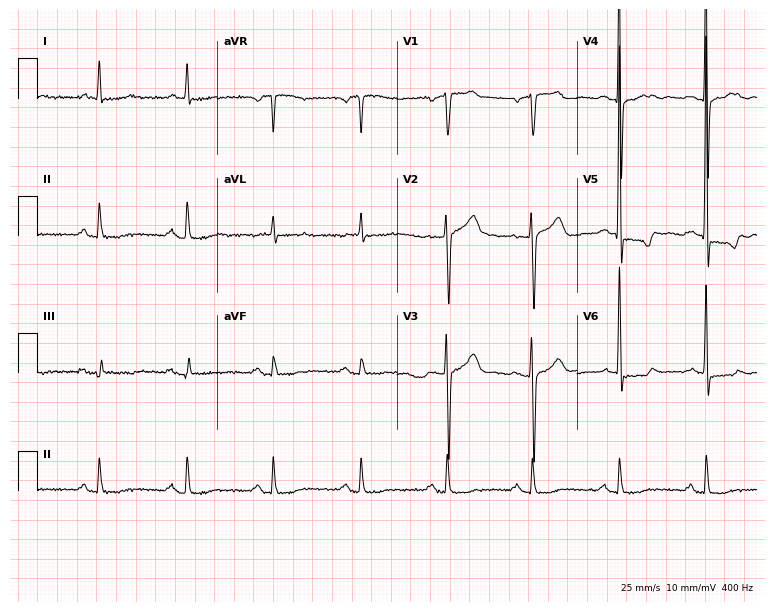
12-lead ECG (7.3-second recording at 400 Hz) from a male patient, 78 years old. Screened for six findings — first-degree AV block, right bundle branch block, left bundle branch block, sinus bradycardia, atrial fibrillation, sinus tachycardia — none is recorded.